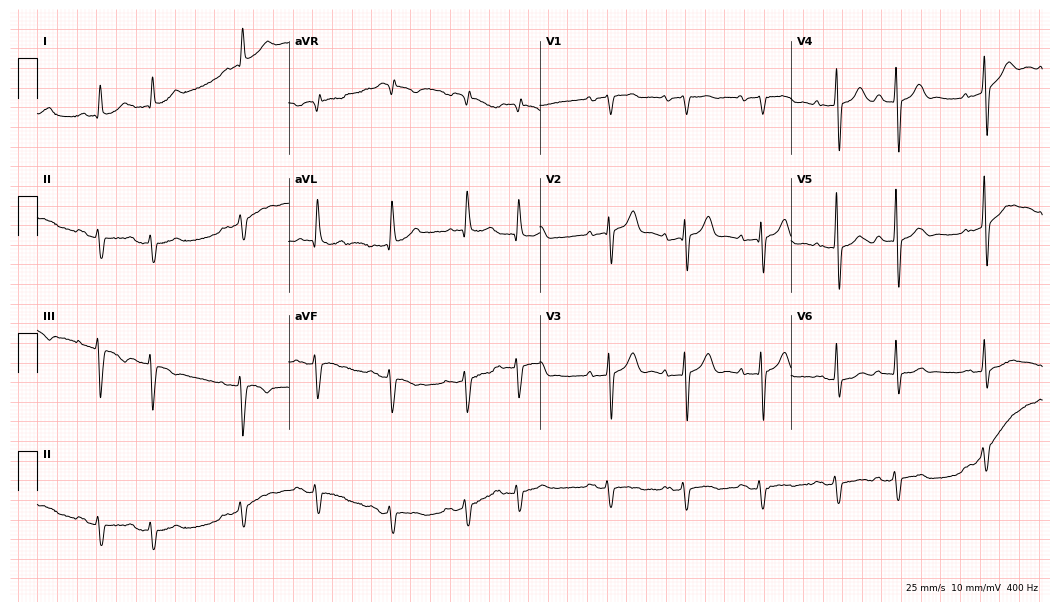
12-lead ECG from a male, 74 years old. Screened for six findings — first-degree AV block, right bundle branch block (RBBB), left bundle branch block (LBBB), sinus bradycardia, atrial fibrillation (AF), sinus tachycardia — none is recorded.